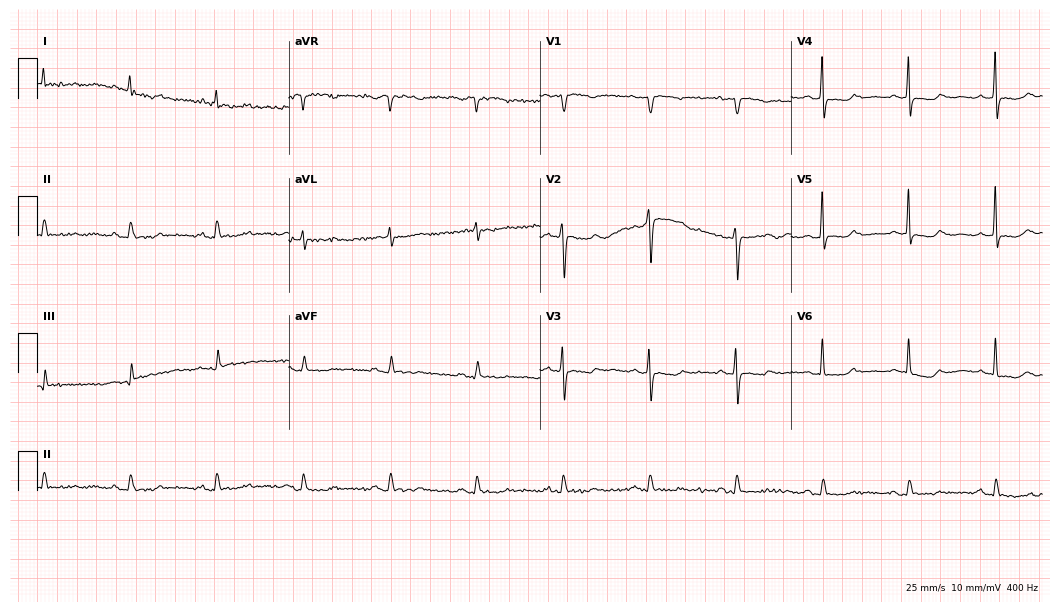
ECG (10.2-second recording at 400 Hz) — a female patient, 84 years old. Screened for six findings — first-degree AV block, right bundle branch block, left bundle branch block, sinus bradycardia, atrial fibrillation, sinus tachycardia — none is recorded.